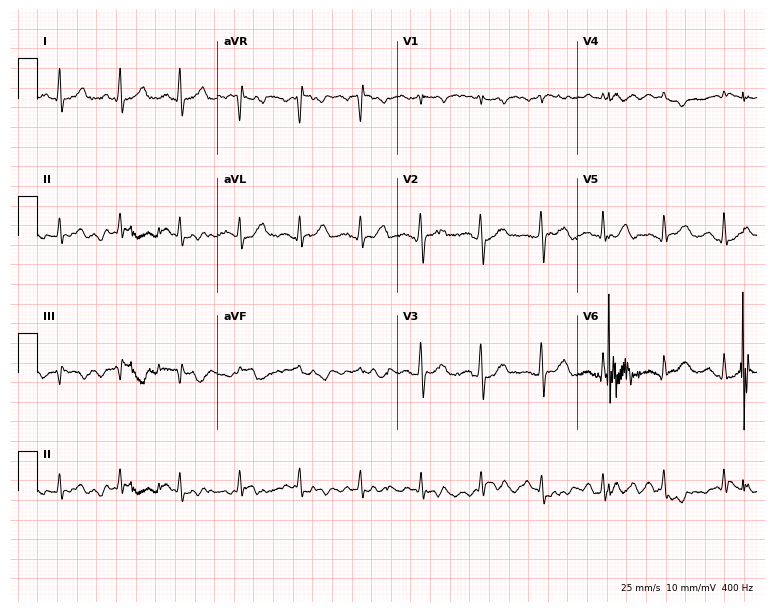
12-lead ECG from a 66-year-old female. Screened for six findings — first-degree AV block, right bundle branch block (RBBB), left bundle branch block (LBBB), sinus bradycardia, atrial fibrillation (AF), sinus tachycardia — none is recorded. Findings outside these six are not listed.